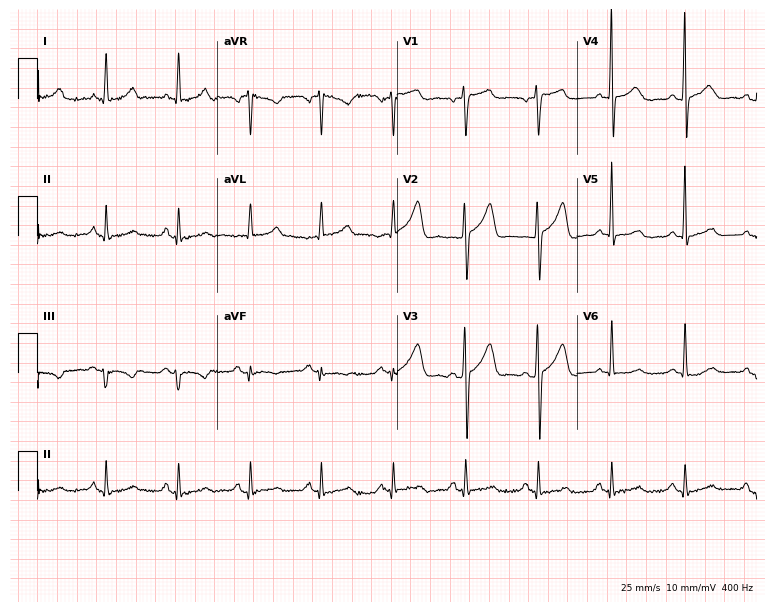
Electrocardiogram (7.3-second recording at 400 Hz), a 57-year-old male patient. Of the six screened findings (first-degree AV block, right bundle branch block, left bundle branch block, sinus bradycardia, atrial fibrillation, sinus tachycardia), none is recorded. Only these six findings were labelled.